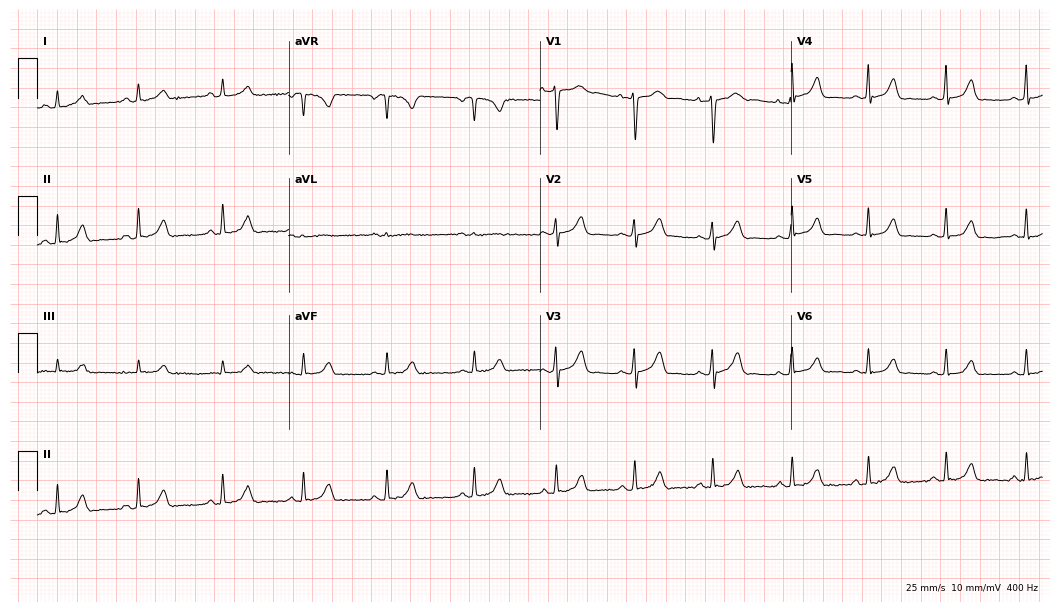
Electrocardiogram, a woman, 19 years old. Overall reading on record: normal ECG.